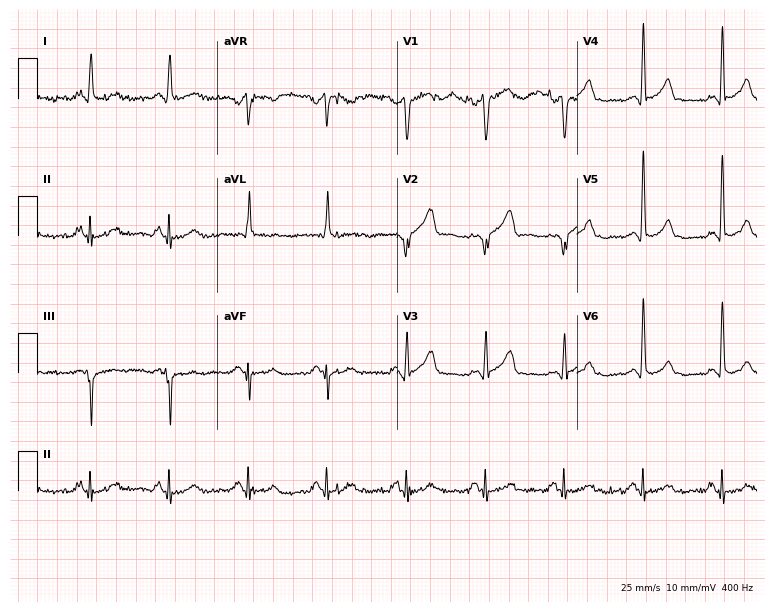
Resting 12-lead electrocardiogram (7.3-second recording at 400 Hz). Patient: a male, 67 years old. Read as a normal ECG.